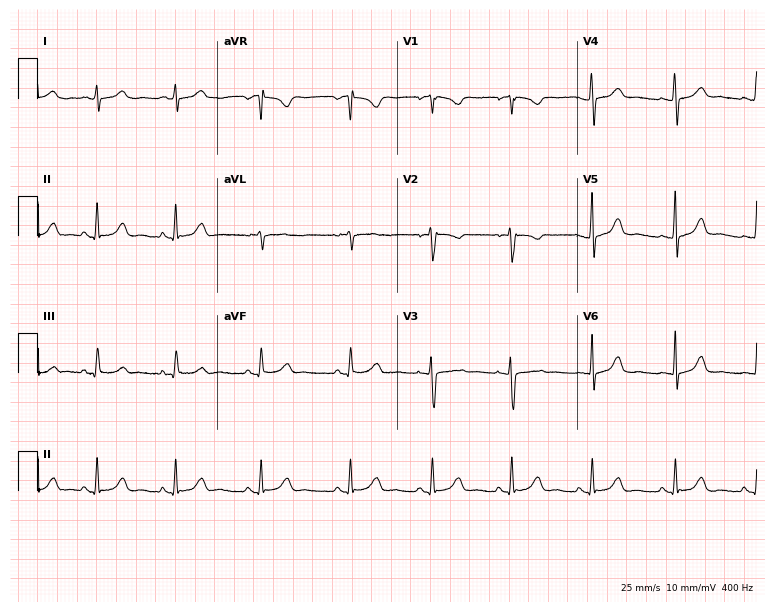
Resting 12-lead electrocardiogram. Patient: a female, 20 years old. Read as a normal ECG.